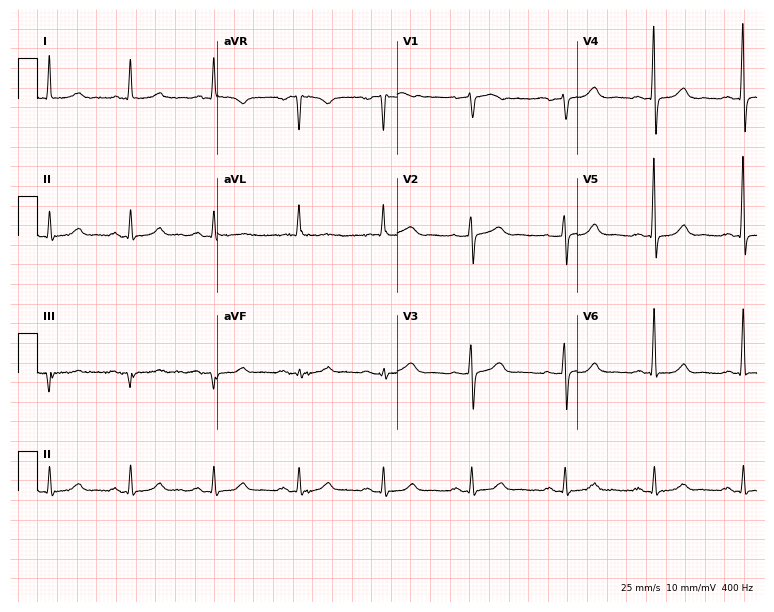
Electrocardiogram (7.3-second recording at 400 Hz), a 75-year-old female. Of the six screened findings (first-degree AV block, right bundle branch block (RBBB), left bundle branch block (LBBB), sinus bradycardia, atrial fibrillation (AF), sinus tachycardia), none is recorded. Only these six findings were labelled.